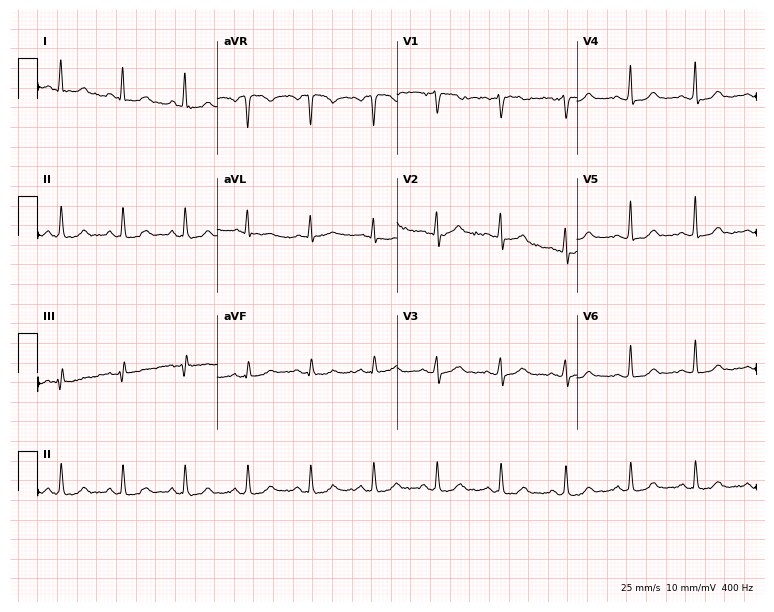
Resting 12-lead electrocardiogram. Patient: a woman, 53 years old. None of these six findings is recorded: first-degree AV block, right bundle branch block, left bundle branch block, sinus bradycardia, atrial fibrillation, sinus tachycardia. Findings outside these six are not listed.